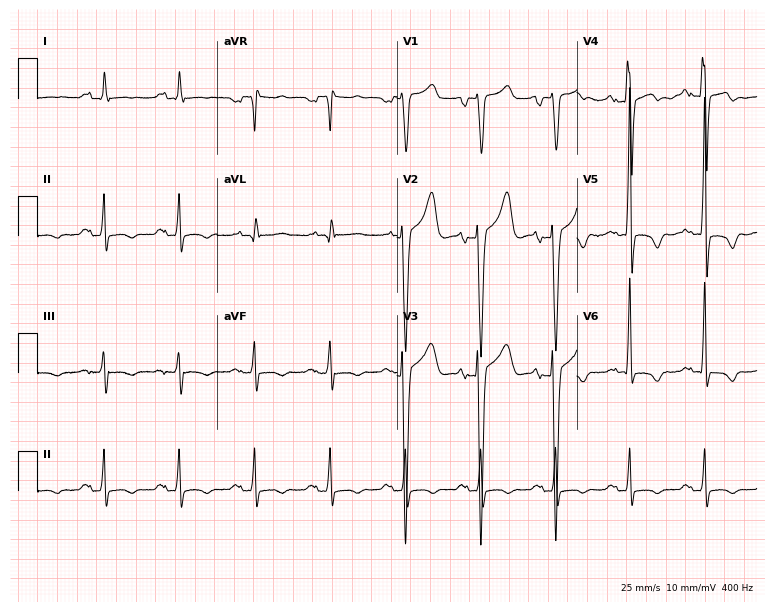
Resting 12-lead electrocardiogram (7.3-second recording at 400 Hz). Patient: a 43-year-old male. None of these six findings is recorded: first-degree AV block, right bundle branch block (RBBB), left bundle branch block (LBBB), sinus bradycardia, atrial fibrillation (AF), sinus tachycardia. Other findings, if any, are not listed.